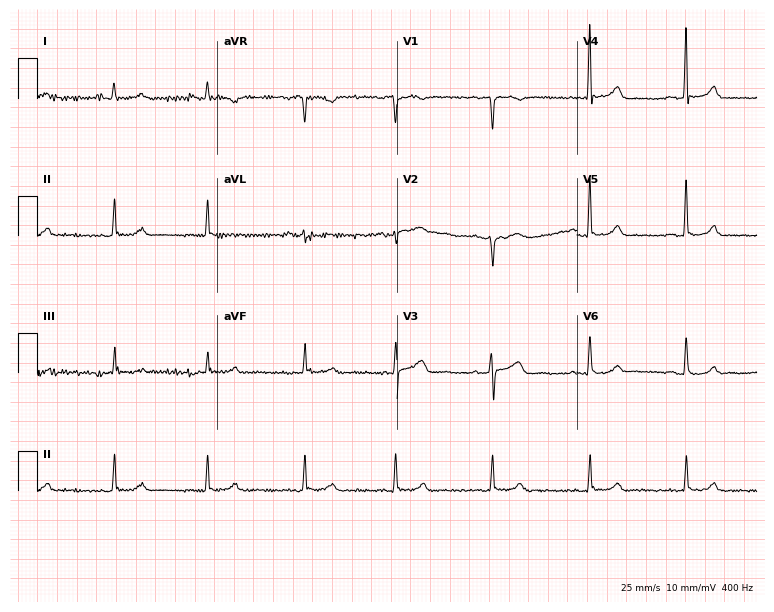
12-lead ECG from a 40-year-old woman. Screened for six findings — first-degree AV block, right bundle branch block, left bundle branch block, sinus bradycardia, atrial fibrillation, sinus tachycardia — none is recorded.